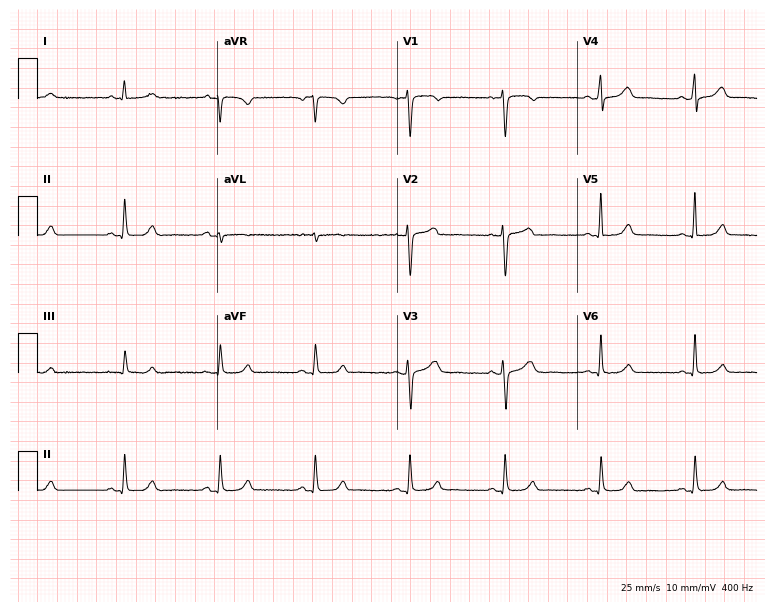
Resting 12-lead electrocardiogram. Patient: a woman, 55 years old. None of these six findings is recorded: first-degree AV block, right bundle branch block, left bundle branch block, sinus bradycardia, atrial fibrillation, sinus tachycardia. Other findings, if any, are not listed.